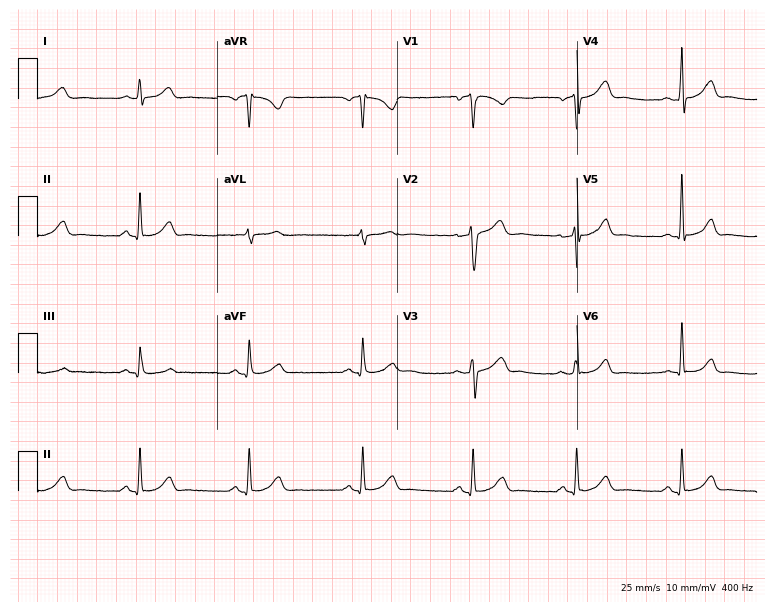
Resting 12-lead electrocardiogram (7.3-second recording at 400 Hz). Patient: a 35-year-old male. Read as a normal ECG.